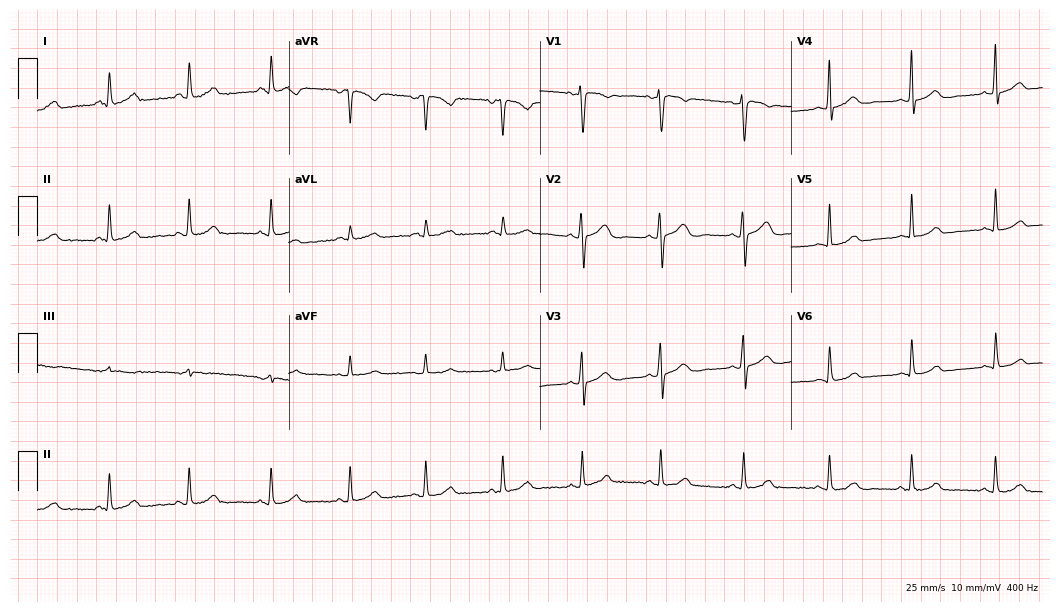
Resting 12-lead electrocardiogram. Patient: a female, 39 years old. None of these six findings is recorded: first-degree AV block, right bundle branch block, left bundle branch block, sinus bradycardia, atrial fibrillation, sinus tachycardia.